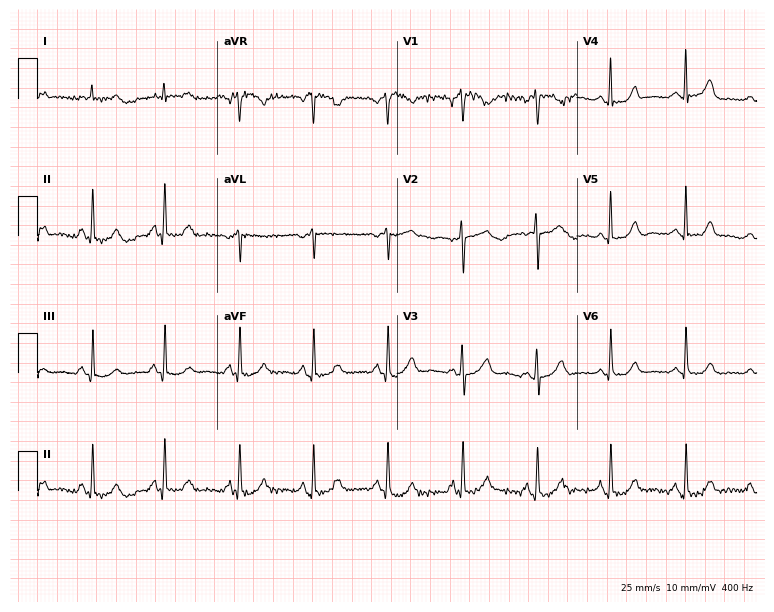
Standard 12-lead ECG recorded from a 71-year-old female. Read as a normal ECG.